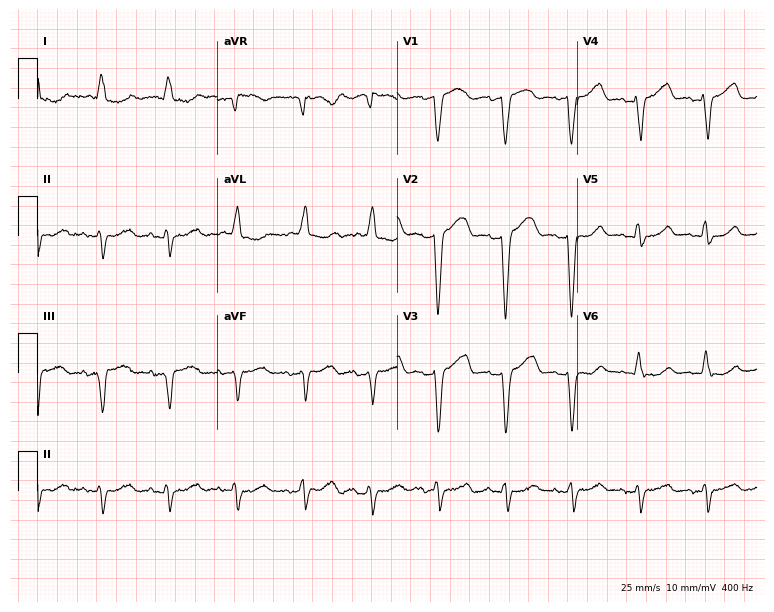
12-lead ECG from an 84-year-old female. Screened for six findings — first-degree AV block, right bundle branch block, left bundle branch block, sinus bradycardia, atrial fibrillation, sinus tachycardia — none is recorded. Other findings, if any, are not listed.